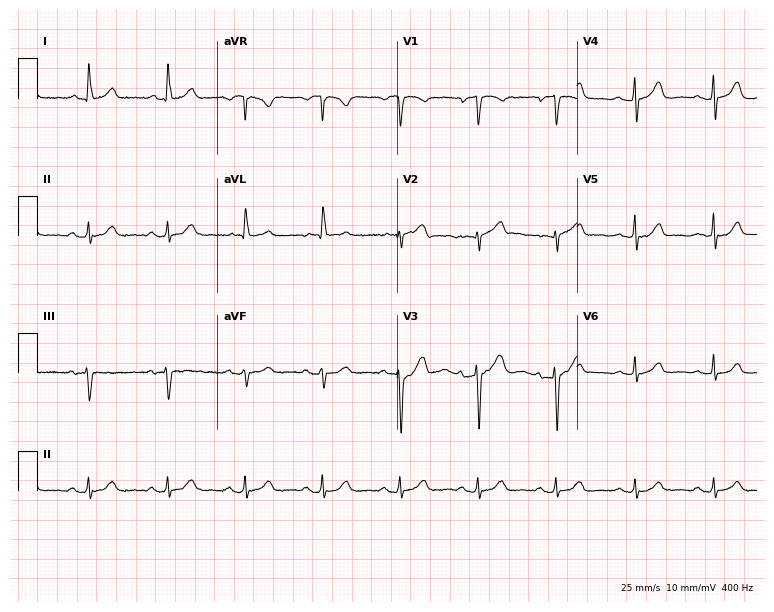
Resting 12-lead electrocardiogram. Patient: a woman, 71 years old. None of these six findings is recorded: first-degree AV block, right bundle branch block, left bundle branch block, sinus bradycardia, atrial fibrillation, sinus tachycardia.